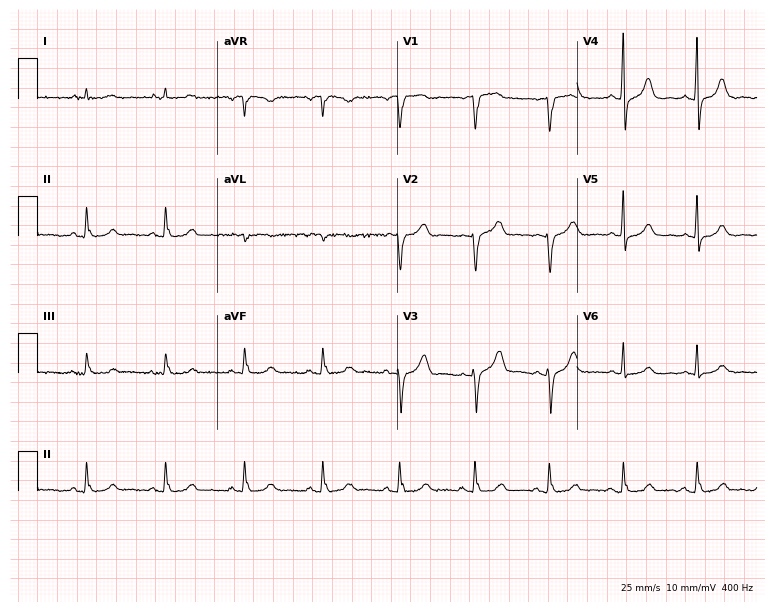
Standard 12-lead ECG recorded from a female patient, 59 years old (7.3-second recording at 400 Hz). None of these six findings is recorded: first-degree AV block, right bundle branch block, left bundle branch block, sinus bradycardia, atrial fibrillation, sinus tachycardia. Only these six findings were labelled.